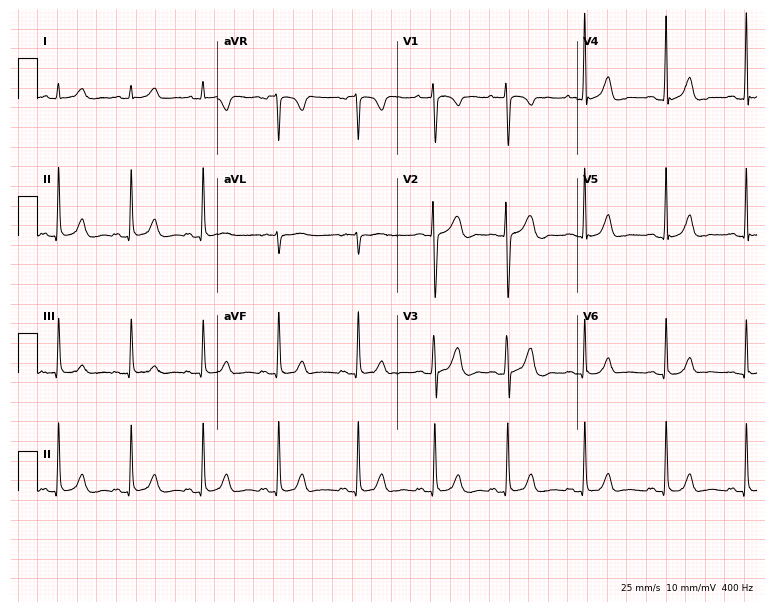
12-lead ECG from a 20-year-old female patient. Labelled as a normal ECG.